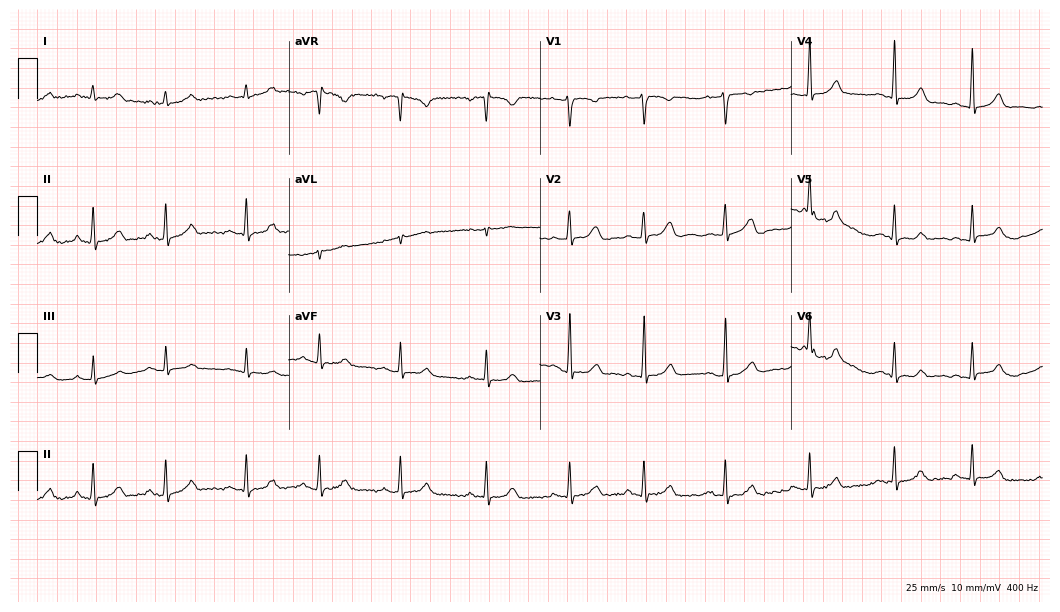
12-lead ECG from a female patient, 25 years old. Labelled as a normal ECG.